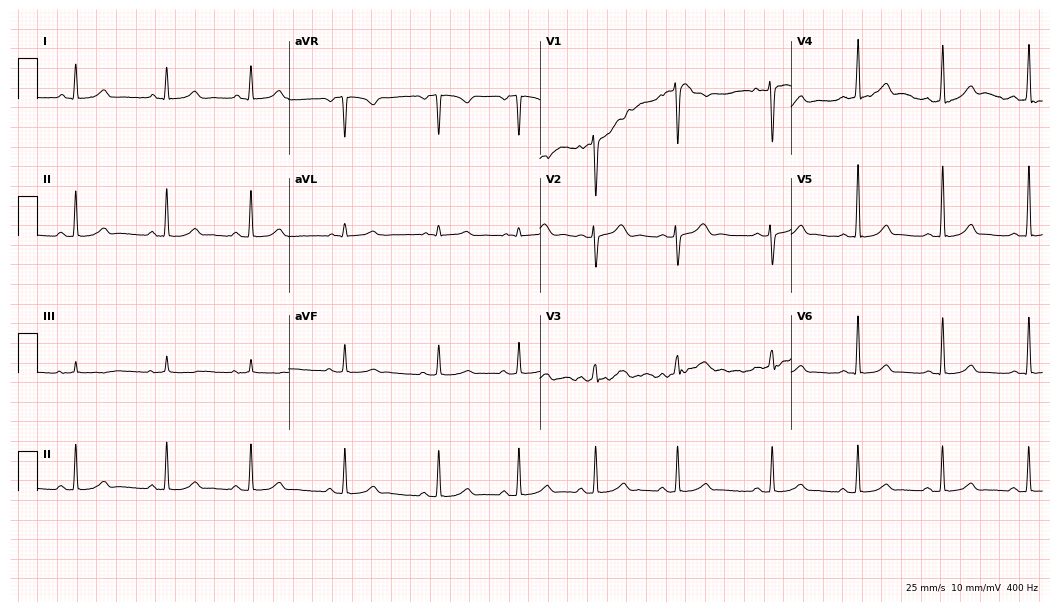
12-lead ECG from a female, 19 years old. Screened for six findings — first-degree AV block, right bundle branch block, left bundle branch block, sinus bradycardia, atrial fibrillation, sinus tachycardia — none is recorded.